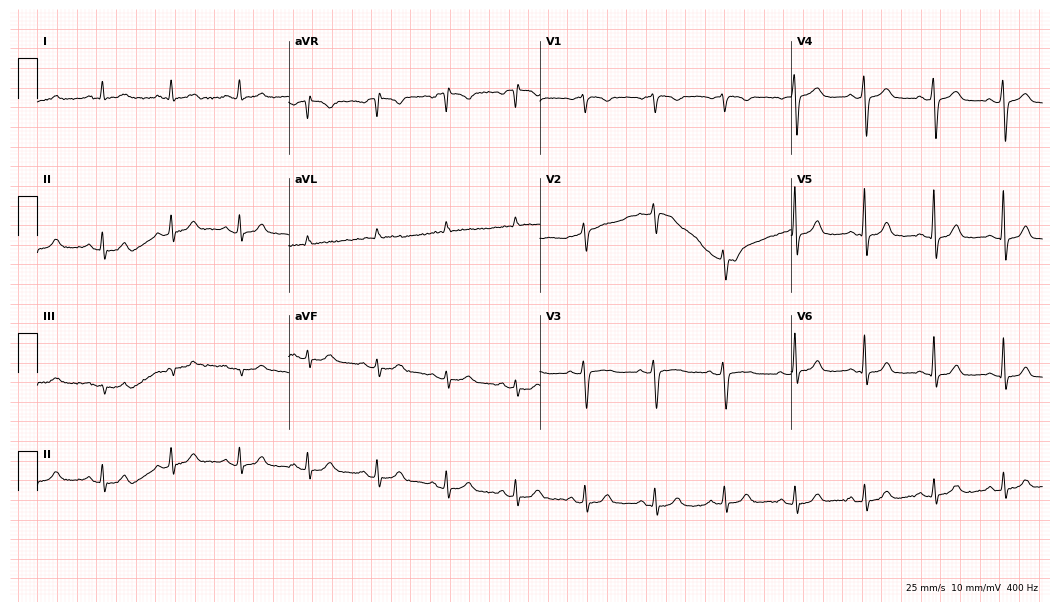
Resting 12-lead electrocardiogram. Patient: a 79-year-old woman. Read as a normal ECG.